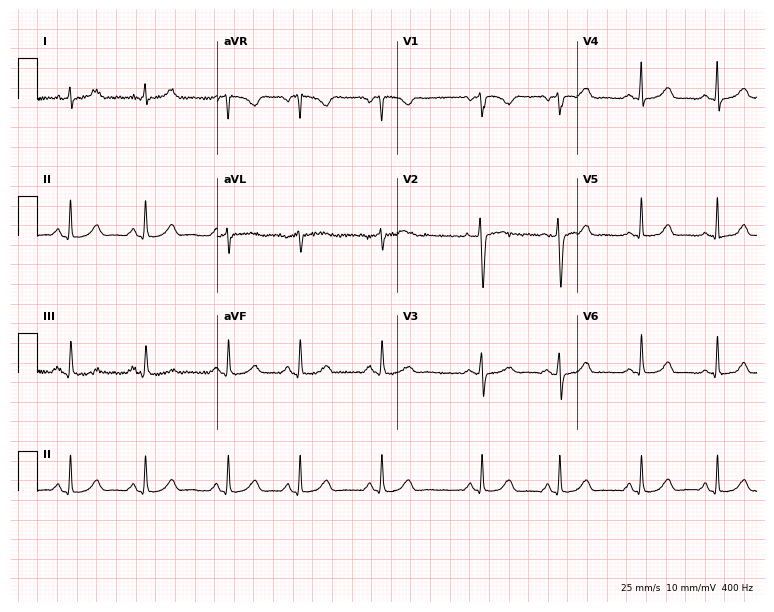
Standard 12-lead ECG recorded from a woman, 31 years old (7.3-second recording at 400 Hz). None of these six findings is recorded: first-degree AV block, right bundle branch block, left bundle branch block, sinus bradycardia, atrial fibrillation, sinus tachycardia.